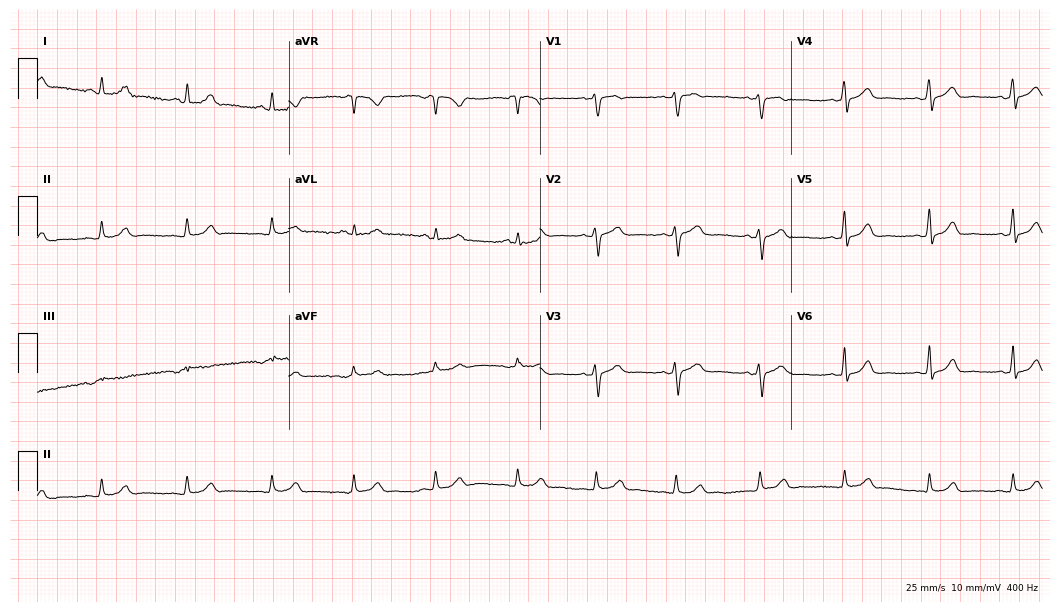
Standard 12-lead ECG recorded from a 35-year-old female patient. Read as a normal ECG.